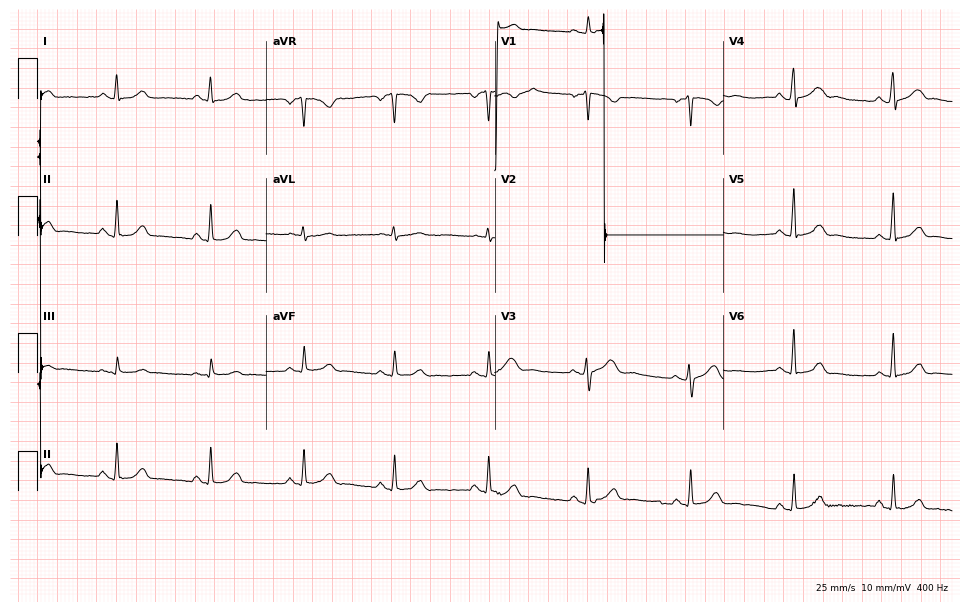
Resting 12-lead electrocardiogram (9.3-second recording at 400 Hz). Patient: a 49-year-old female. None of these six findings is recorded: first-degree AV block, right bundle branch block, left bundle branch block, sinus bradycardia, atrial fibrillation, sinus tachycardia. Findings outside these six are not listed.